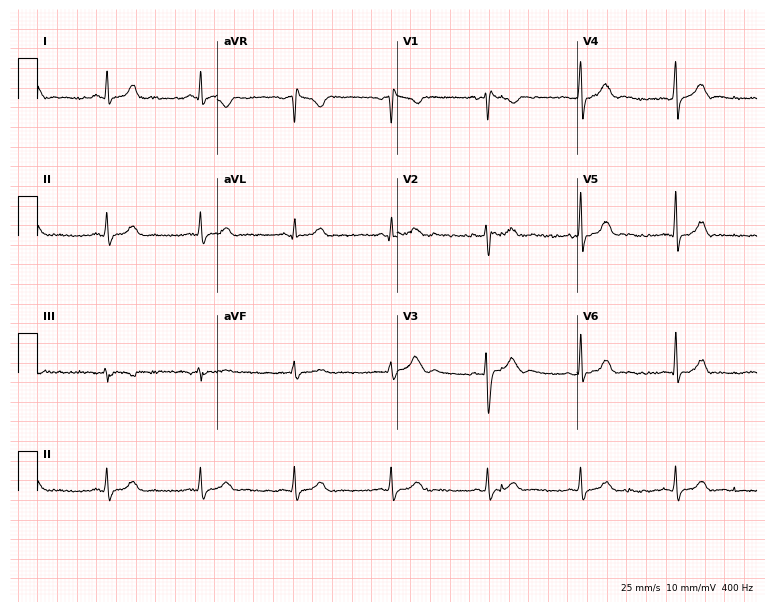
Resting 12-lead electrocardiogram. Patient: a 30-year-old woman. None of these six findings is recorded: first-degree AV block, right bundle branch block (RBBB), left bundle branch block (LBBB), sinus bradycardia, atrial fibrillation (AF), sinus tachycardia. Other findings, if any, are not listed.